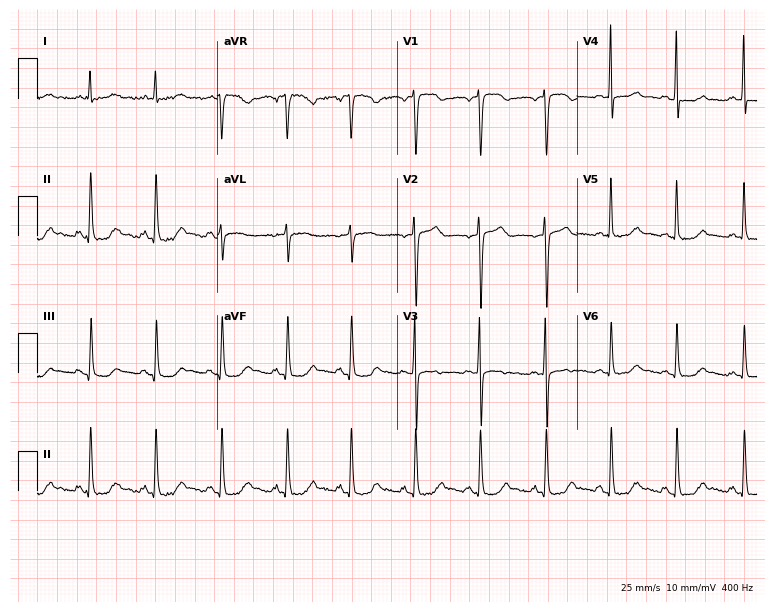
Standard 12-lead ECG recorded from a woman, 52 years old. None of these six findings is recorded: first-degree AV block, right bundle branch block (RBBB), left bundle branch block (LBBB), sinus bradycardia, atrial fibrillation (AF), sinus tachycardia. Other findings, if any, are not listed.